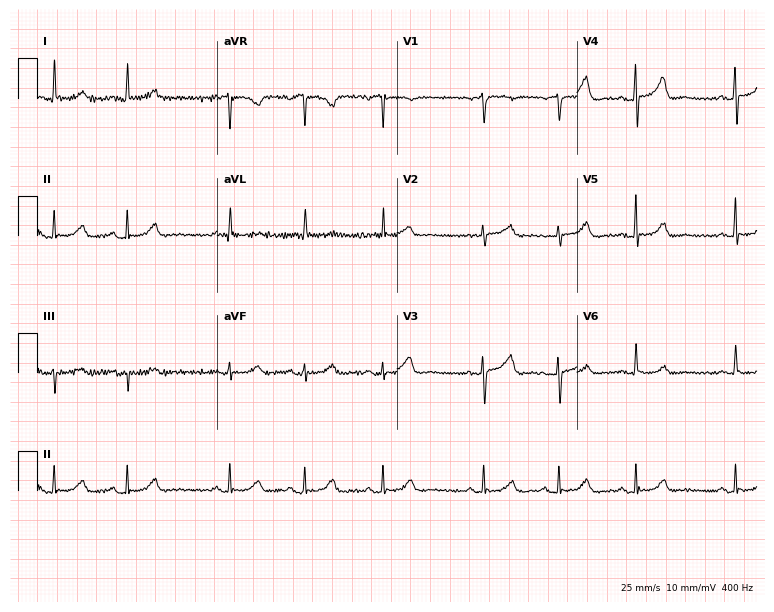
Resting 12-lead electrocardiogram (7.3-second recording at 400 Hz). Patient: a 64-year-old woman. None of these six findings is recorded: first-degree AV block, right bundle branch block (RBBB), left bundle branch block (LBBB), sinus bradycardia, atrial fibrillation (AF), sinus tachycardia.